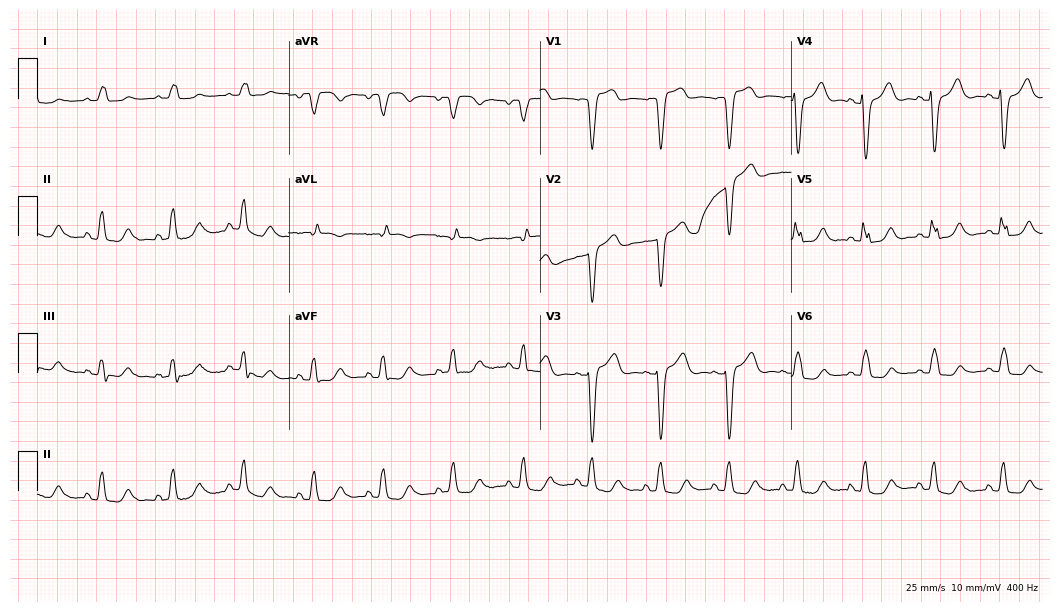
Standard 12-lead ECG recorded from a 68-year-old female patient. The tracing shows left bundle branch block.